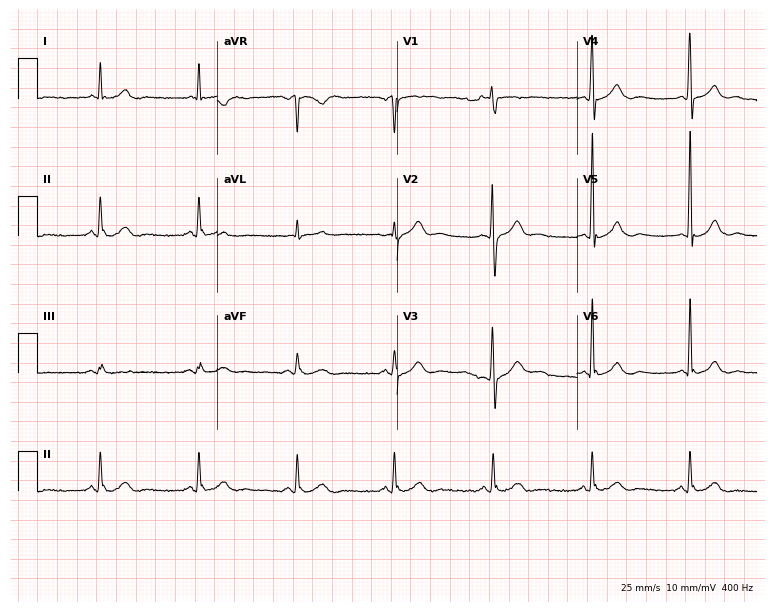
Electrocardiogram, a 56-year-old male patient. Overall reading on record: normal ECG.